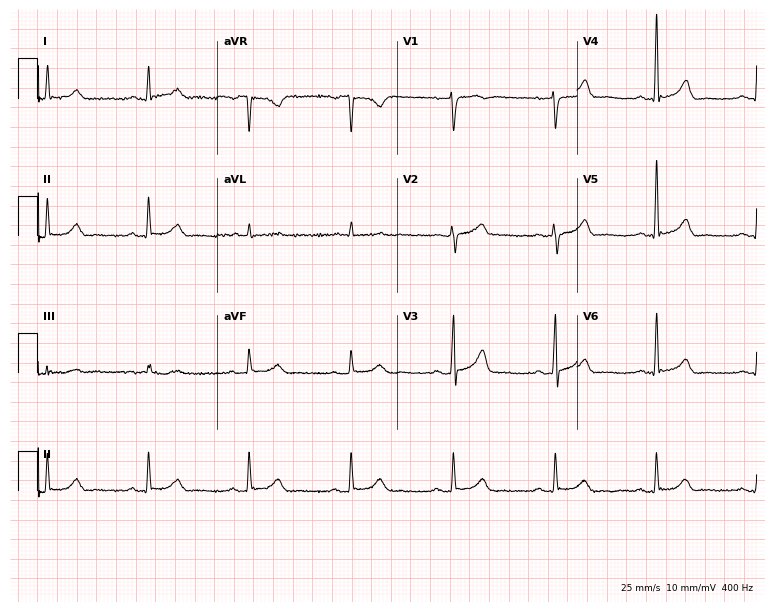
Standard 12-lead ECG recorded from a male patient, 58 years old. Read as a normal ECG.